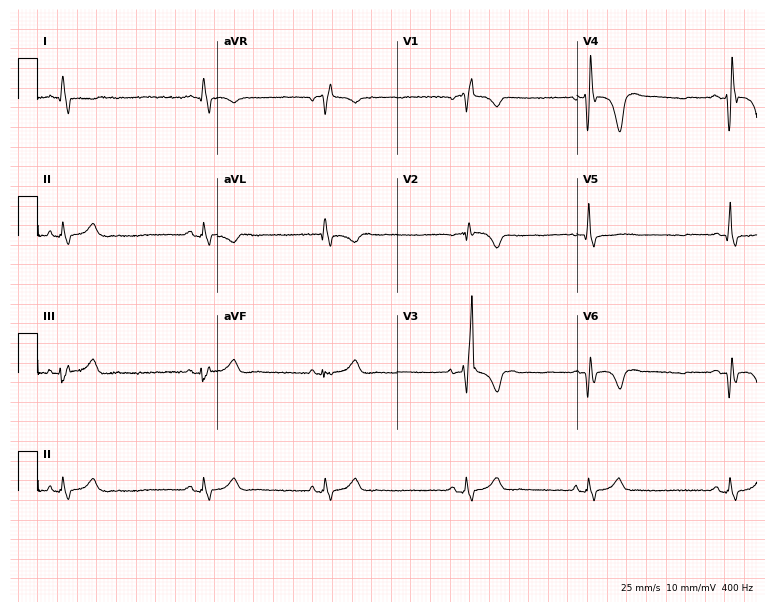
Resting 12-lead electrocardiogram. Patient: a male, 77 years old. The tracing shows right bundle branch block, sinus bradycardia (a sinus rate of 50 beats per minute or less).